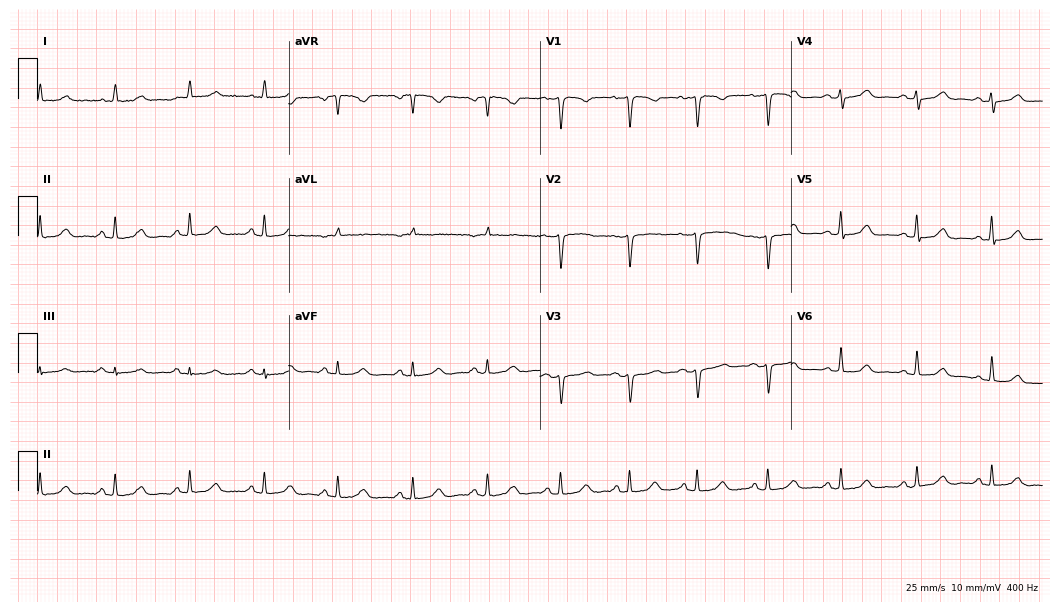
12-lead ECG from a 54-year-old female patient (10.2-second recording at 400 Hz). Recorded interpretation: within normal limits.